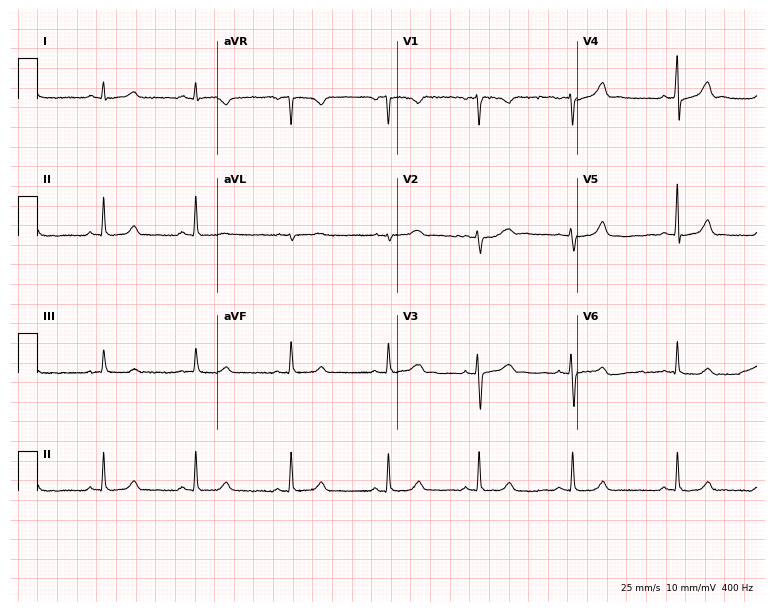
Standard 12-lead ECG recorded from a woman, 21 years old (7.3-second recording at 400 Hz). Read as a normal ECG.